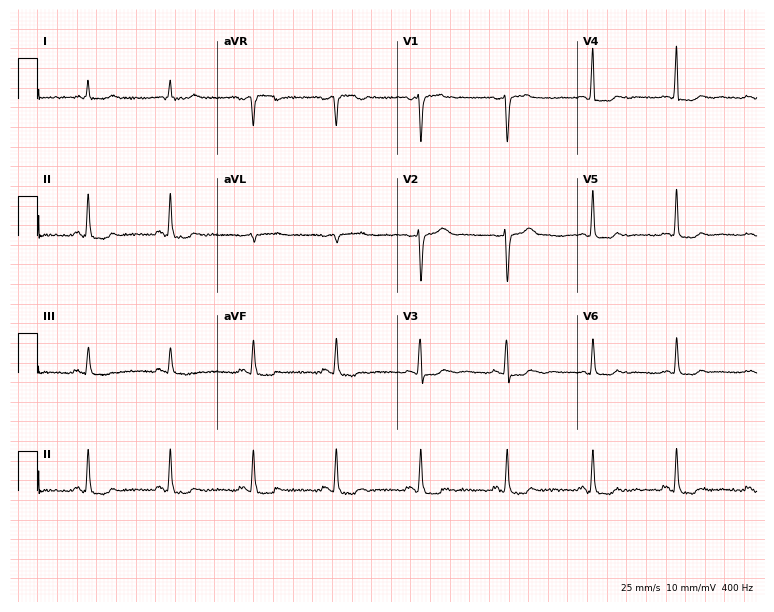
Electrocardiogram (7.3-second recording at 400 Hz), a female, 20 years old. Of the six screened findings (first-degree AV block, right bundle branch block, left bundle branch block, sinus bradycardia, atrial fibrillation, sinus tachycardia), none is recorded.